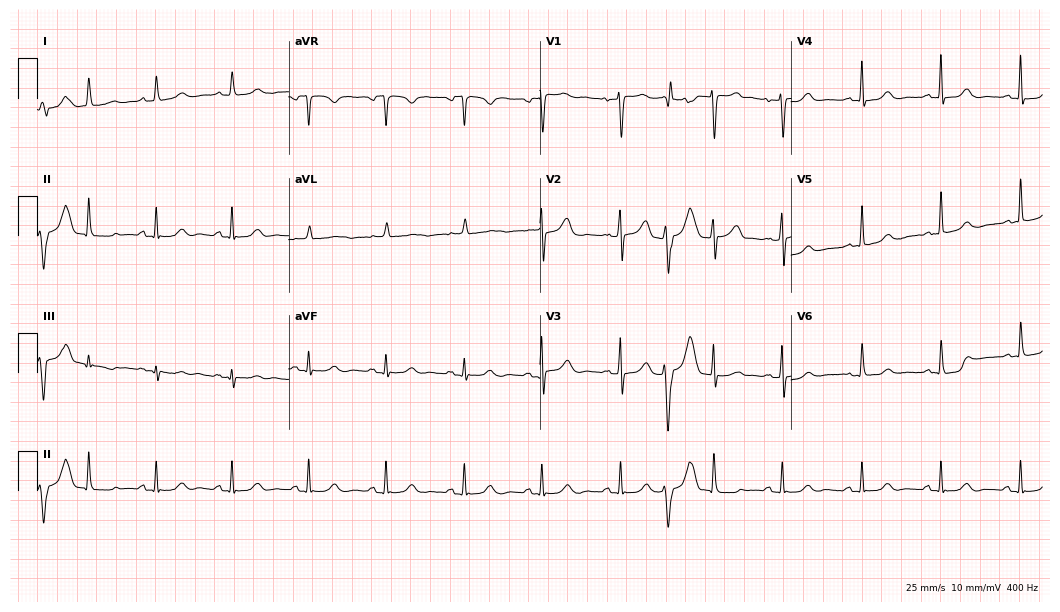
Resting 12-lead electrocardiogram (10.2-second recording at 400 Hz). Patient: a 66-year-old woman. None of these six findings is recorded: first-degree AV block, right bundle branch block, left bundle branch block, sinus bradycardia, atrial fibrillation, sinus tachycardia.